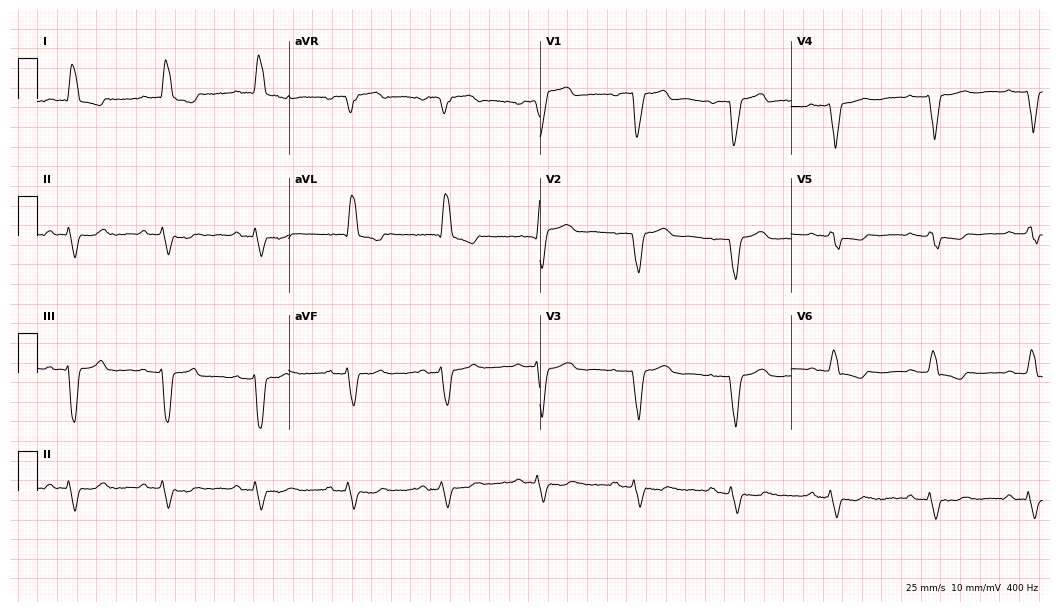
12-lead ECG from a 58-year-old female patient. Shows left bundle branch block.